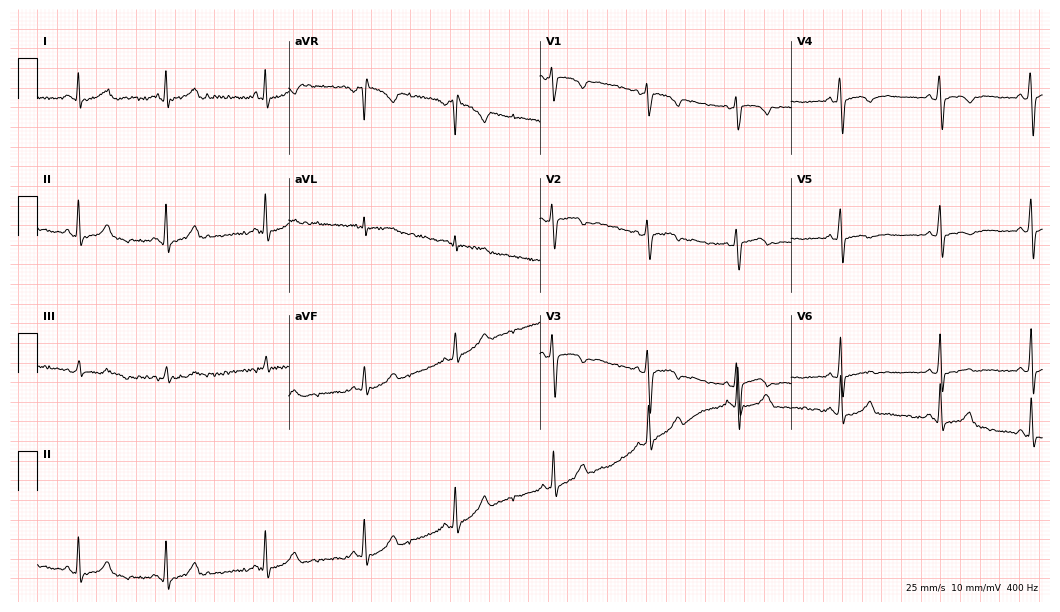
Resting 12-lead electrocardiogram (10.2-second recording at 400 Hz). Patient: a woman, 18 years old. None of these six findings is recorded: first-degree AV block, right bundle branch block, left bundle branch block, sinus bradycardia, atrial fibrillation, sinus tachycardia. Findings outside these six are not listed.